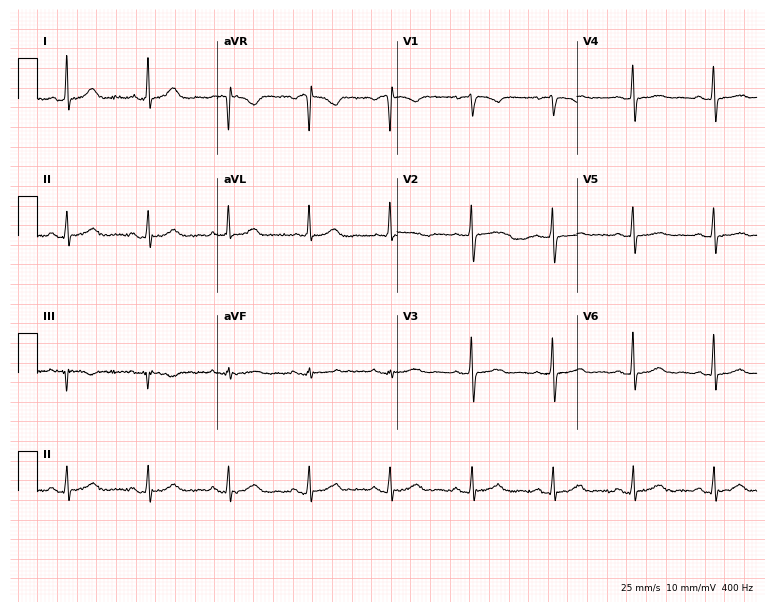
Standard 12-lead ECG recorded from a 73-year-old woman (7.3-second recording at 400 Hz). Read as a normal ECG.